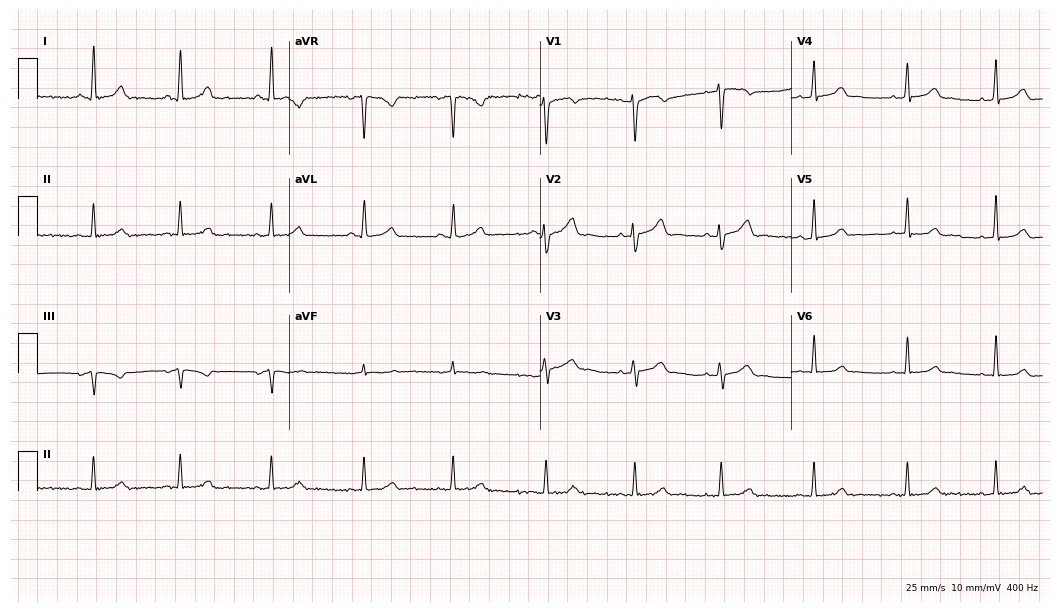
Electrocardiogram (10.2-second recording at 400 Hz), a woman, 42 years old. Overall reading on record: normal ECG.